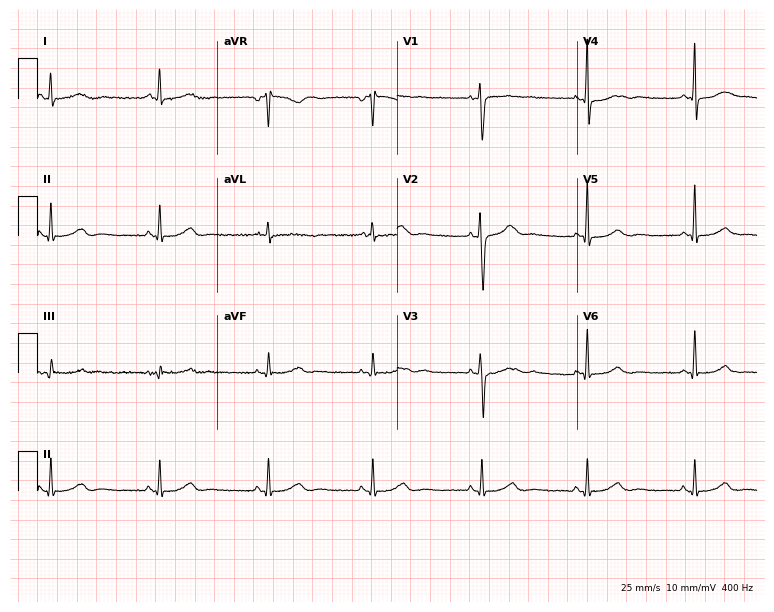
ECG — a 41-year-old female. Screened for six findings — first-degree AV block, right bundle branch block (RBBB), left bundle branch block (LBBB), sinus bradycardia, atrial fibrillation (AF), sinus tachycardia — none is recorded.